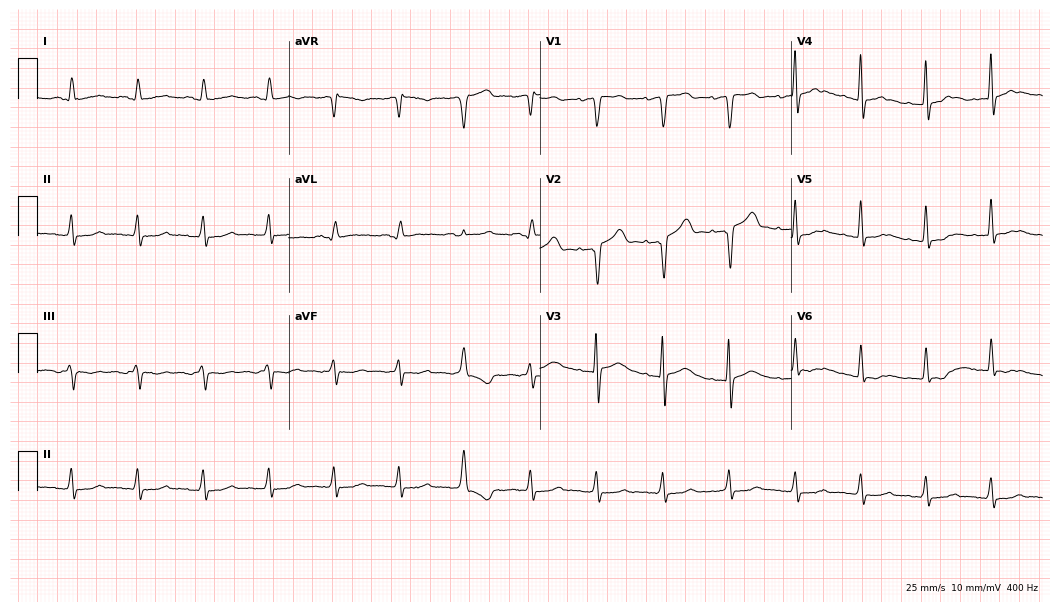
Standard 12-lead ECG recorded from a 73-year-old woman. Read as a normal ECG.